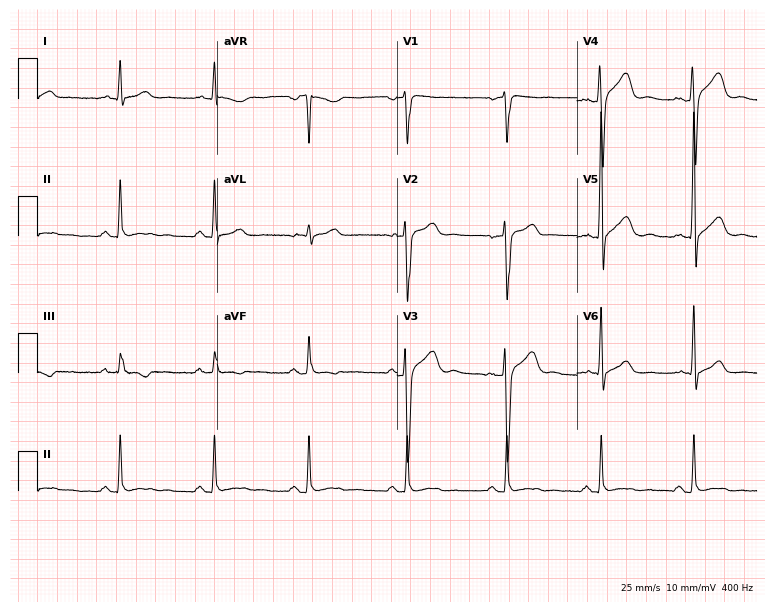
12-lead ECG from a man, 47 years old. Screened for six findings — first-degree AV block, right bundle branch block, left bundle branch block, sinus bradycardia, atrial fibrillation, sinus tachycardia — none is recorded.